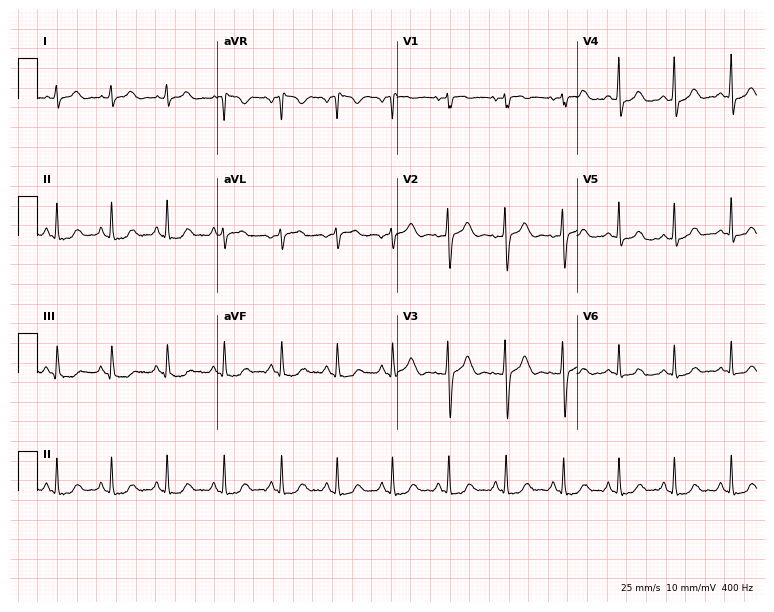
Resting 12-lead electrocardiogram. Patient: a female, 19 years old. The tracing shows sinus tachycardia (a sinus rate of 100 beats per minute or more).